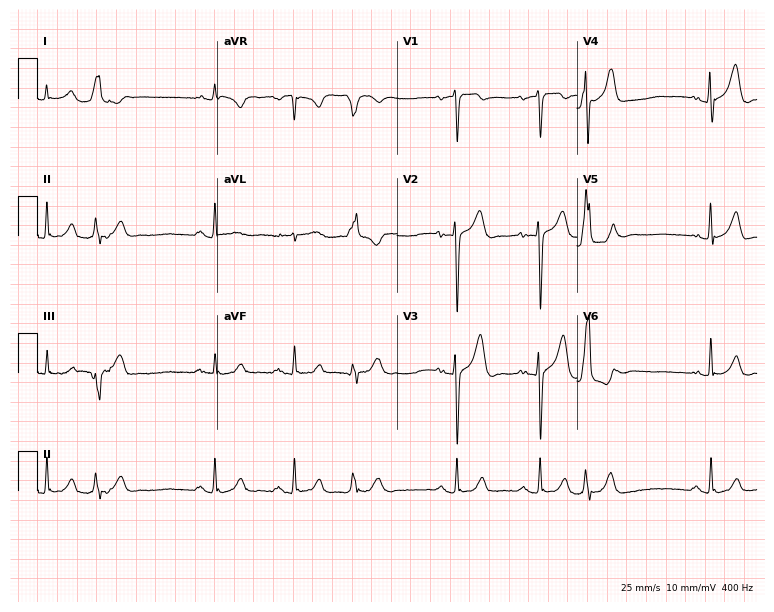
Standard 12-lead ECG recorded from a man, 53 years old. None of these six findings is recorded: first-degree AV block, right bundle branch block (RBBB), left bundle branch block (LBBB), sinus bradycardia, atrial fibrillation (AF), sinus tachycardia. Findings outside these six are not listed.